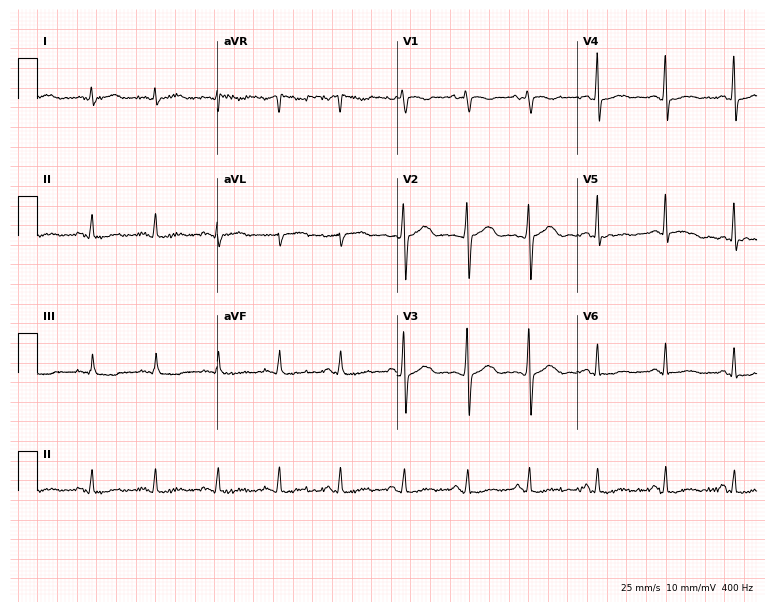
Electrocardiogram (7.3-second recording at 400 Hz), a 38-year-old woman. Of the six screened findings (first-degree AV block, right bundle branch block, left bundle branch block, sinus bradycardia, atrial fibrillation, sinus tachycardia), none is recorded.